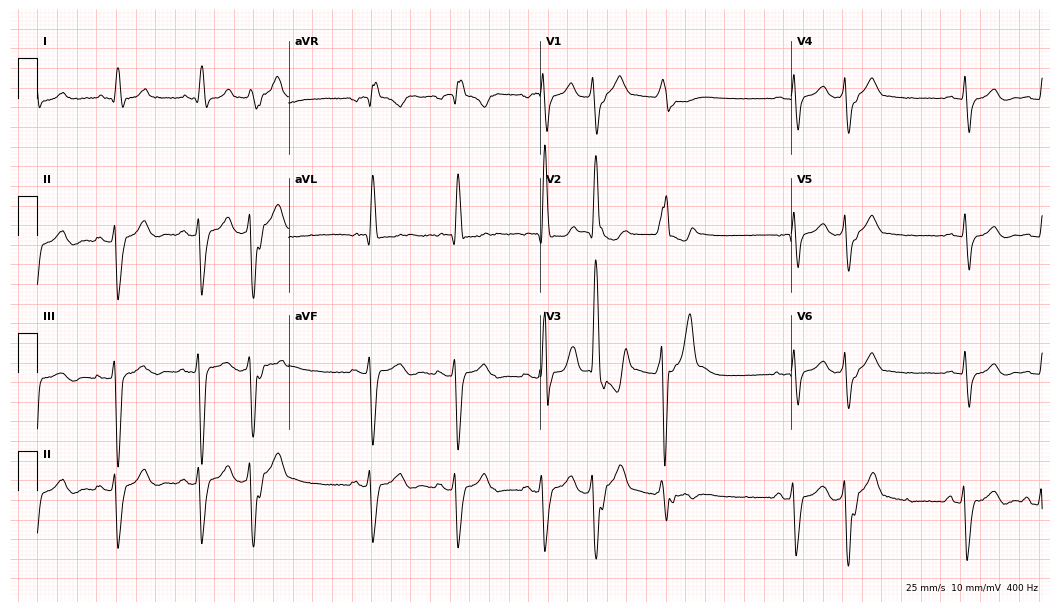
Resting 12-lead electrocardiogram. Patient: a man, 84 years old. The tracing shows right bundle branch block, atrial fibrillation.